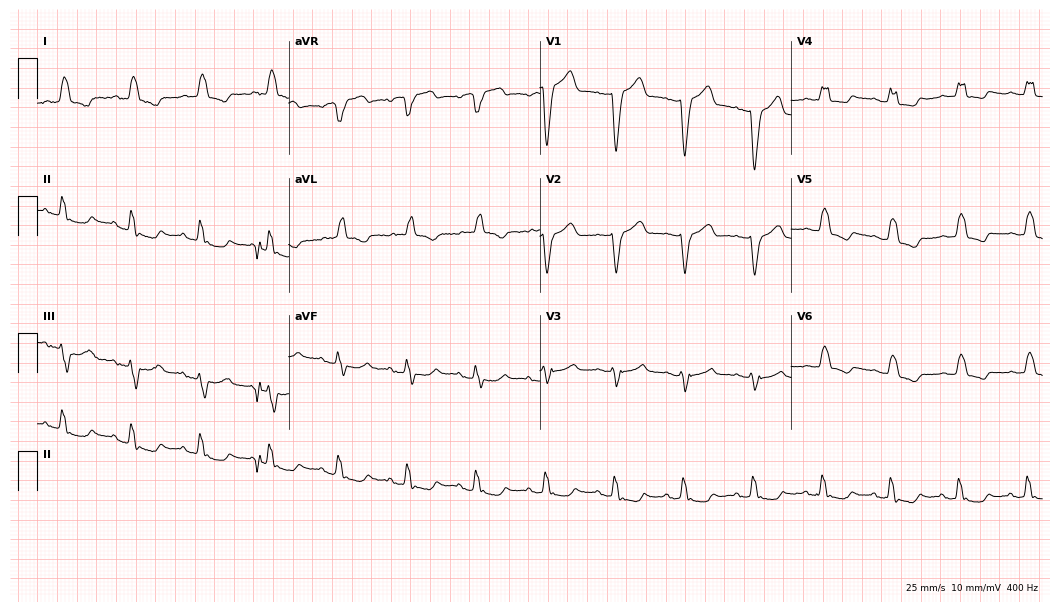
ECG — a woman, 86 years old. Findings include left bundle branch block (LBBB).